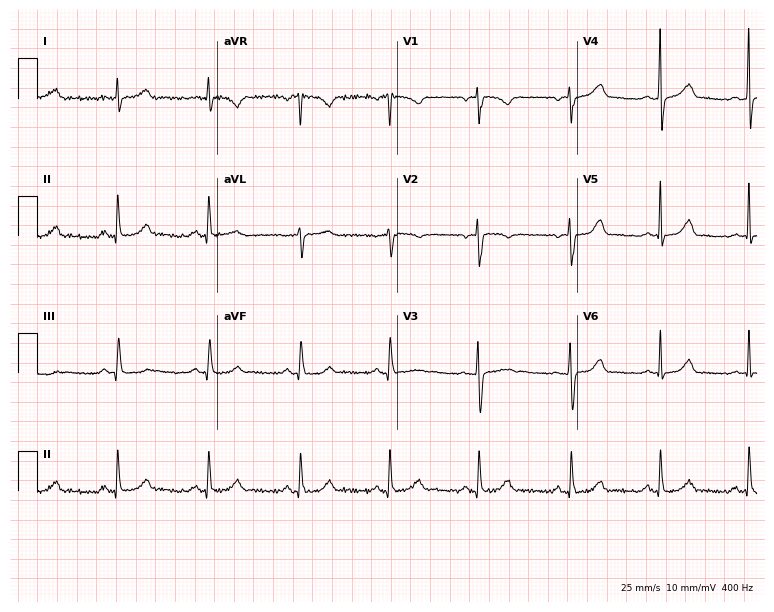
12-lead ECG from a 44-year-old woman. Labelled as a normal ECG.